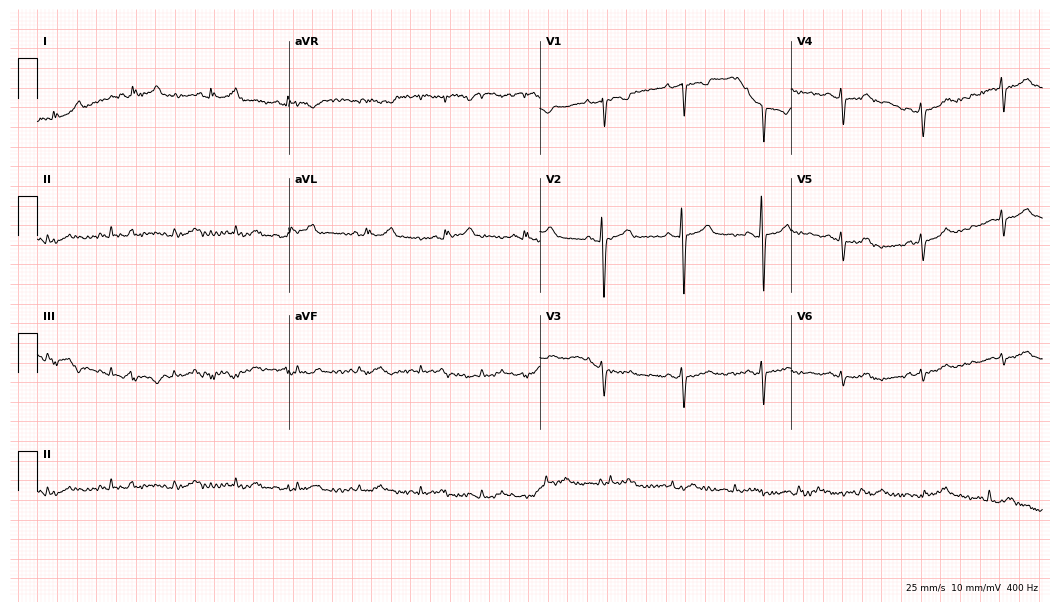
ECG — a female patient, 80 years old. Screened for six findings — first-degree AV block, right bundle branch block (RBBB), left bundle branch block (LBBB), sinus bradycardia, atrial fibrillation (AF), sinus tachycardia — none is recorded.